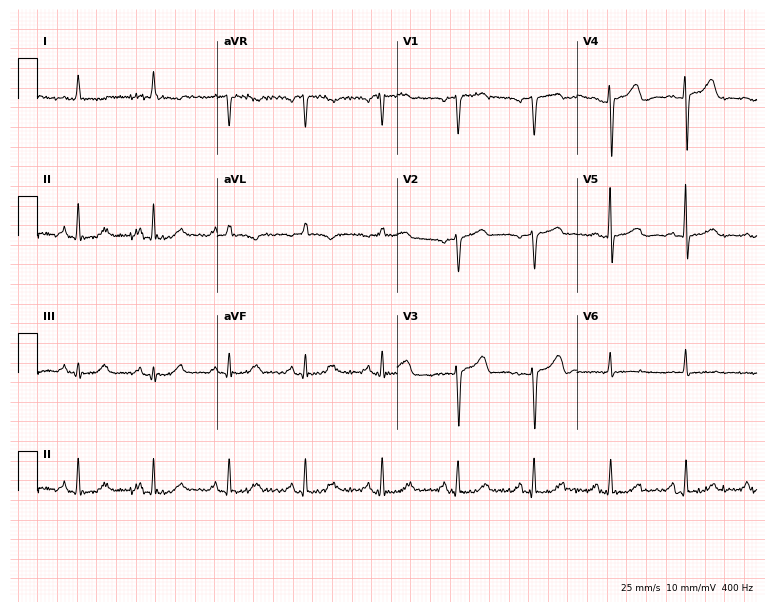
ECG — a female, 68 years old. Screened for six findings — first-degree AV block, right bundle branch block, left bundle branch block, sinus bradycardia, atrial fibrillation, sinus tachycardia — none is recorded.